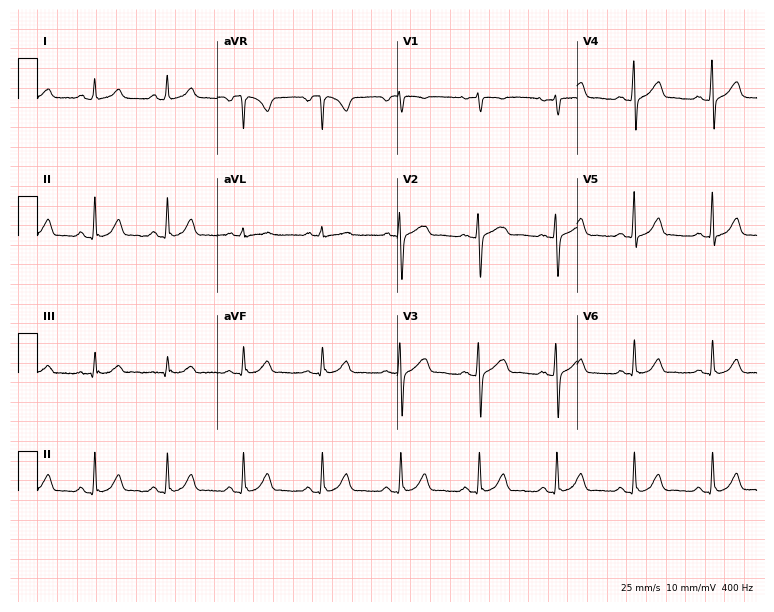
ECG — a 28-year-old female patient. Labelled as a normal ECG.